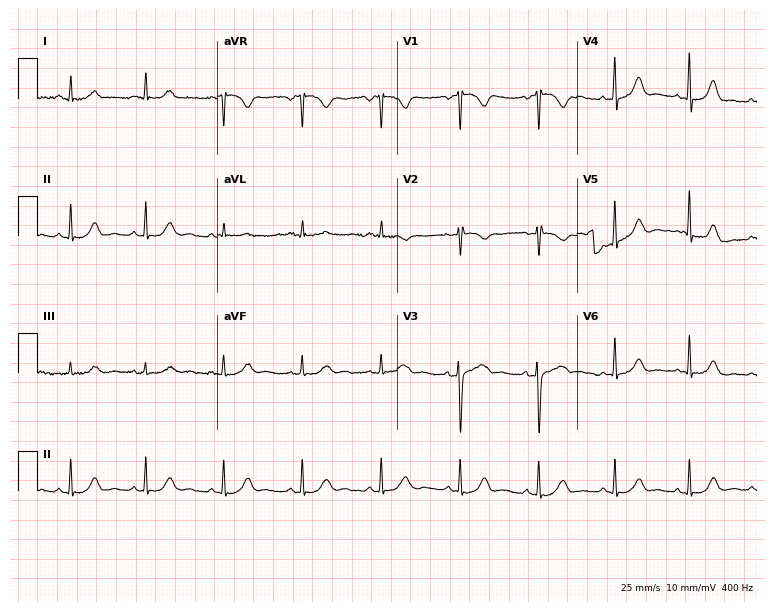
Resting 12-lead electrocardiogram. Patient: a 48-year-old female. Read as a normal ECG.